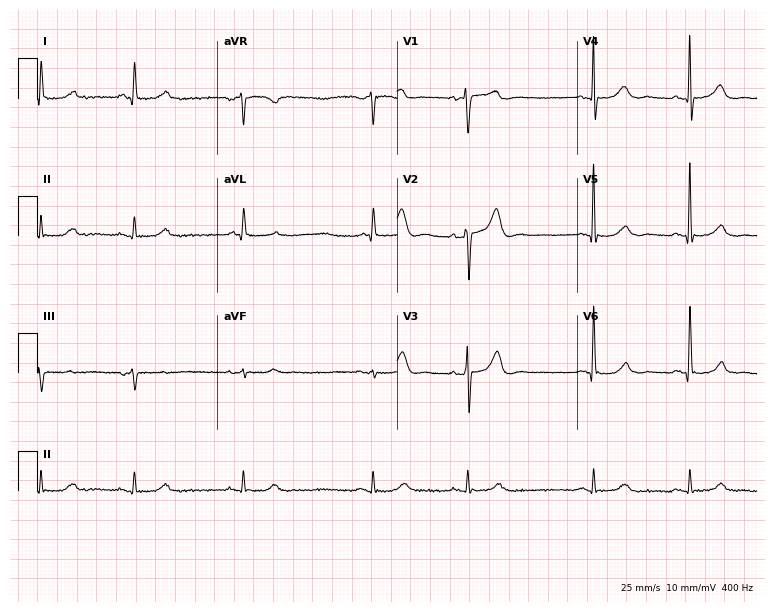
12-lead ECG (7.3-second recording at 400 Hz) from a 71-year-old male patient. Labelled as a normal ECG.